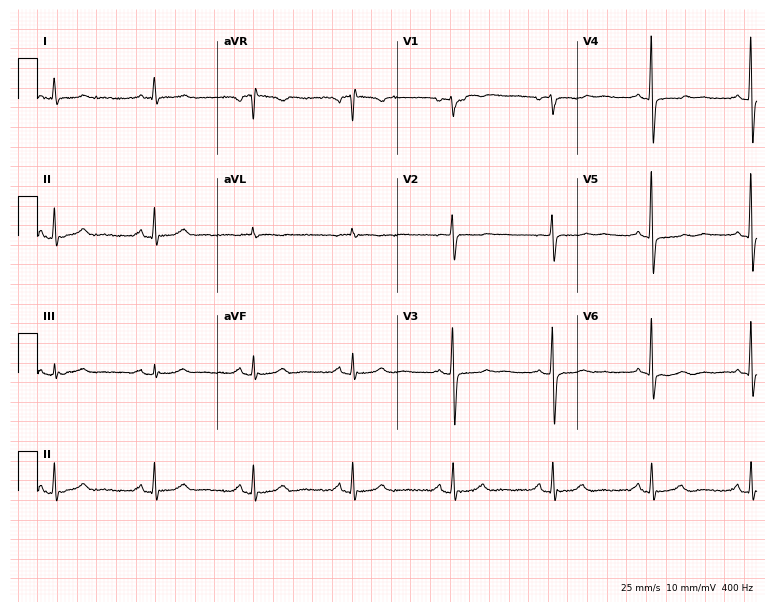
Electrocardiogram, a 70-year-old female patient. Of the six screened findings (first-degree AV block, right bundle branch block (RBBB), left bundle branch block (LBBB), sinus bradycardia, atrial fibrillation (AF), sinus tachycardia), none is recorded.